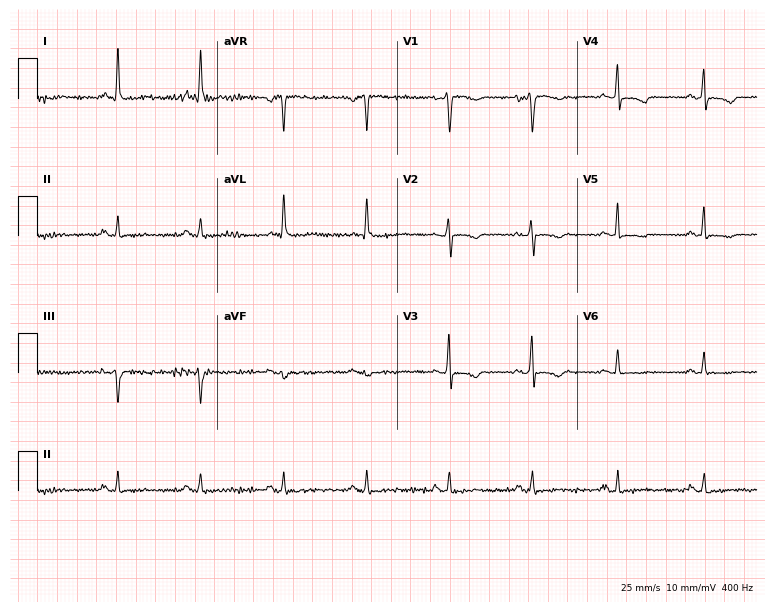
Standard 12-lead ECG recorded from a 59-year-old female. None of these six findings is recorded: first-degree AV block, right bundle branch block, left bundle branch block, sinus bradycardia, atrial fibrillation, sinus tachycardia.